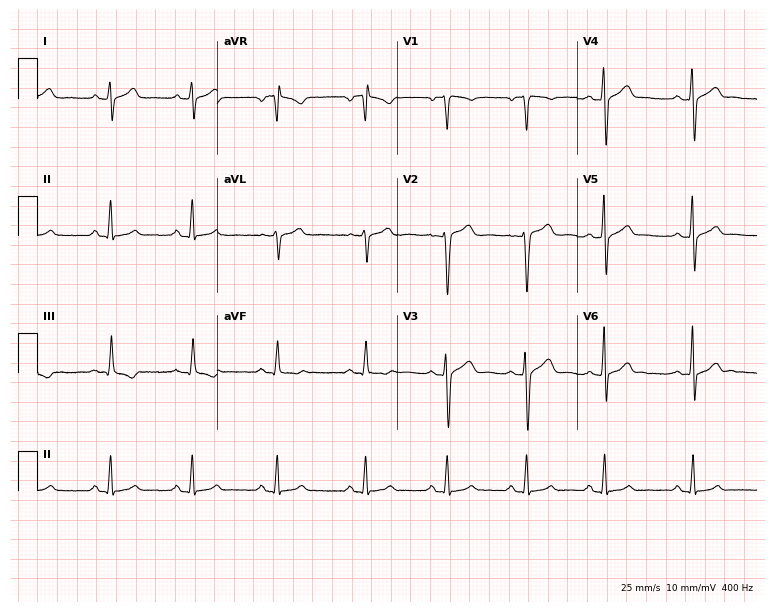
ECG (7.3-second recording at 400 Hz) — a 19-year-old woman. Labelled as a normal ECG.